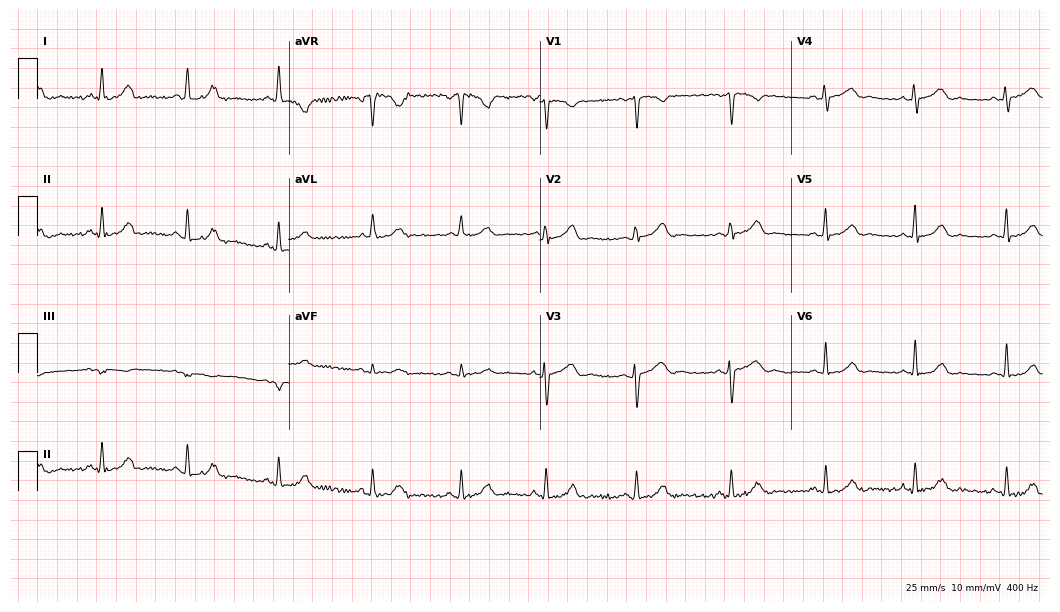
Resting 12-lead electrocardiogram. Patient: a female, 26 years old. Read as a normal ECG.